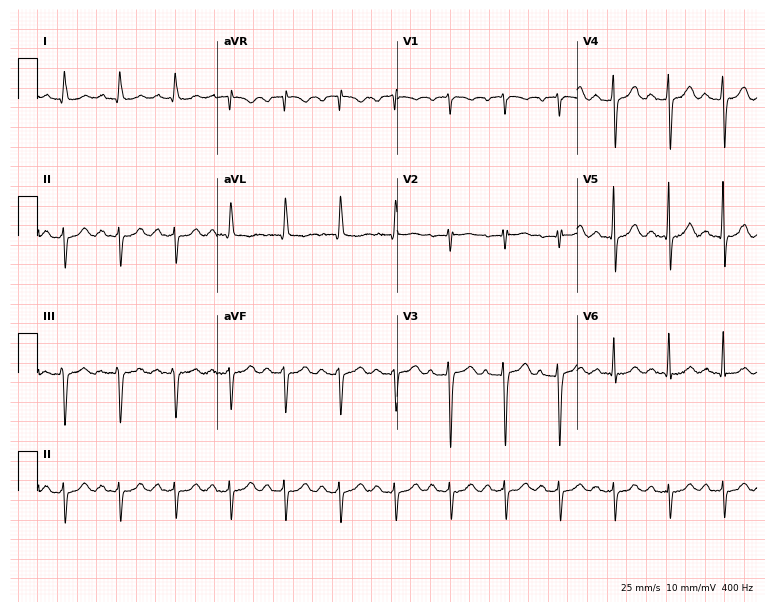
12-lead ECG from a man, 77 years old. Shows sinus tachycardia (a sinus rate of 100 beats per minute or more).